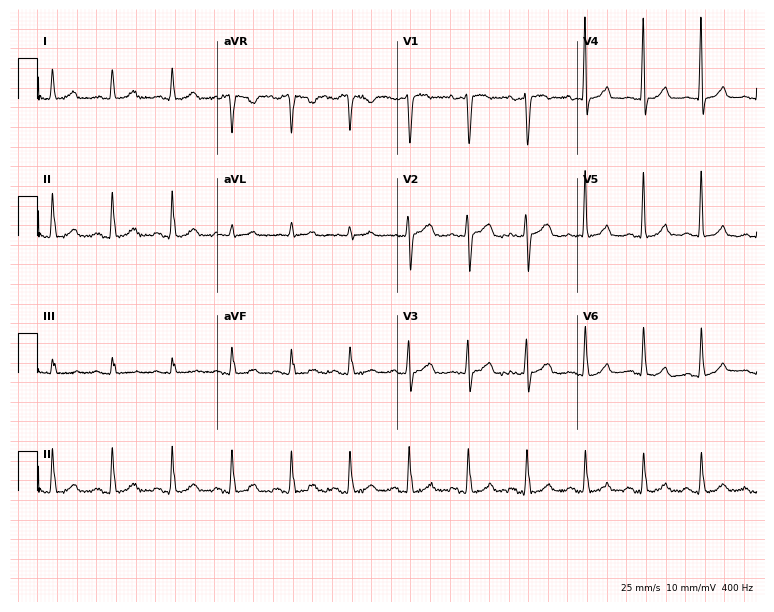
12-lead ECG from a 52-year-old female patient. Screened for six findings — first-degree AV block, right bundle branch block, left bundle branch block, sinus bradycardia, atrial fibrillation, sinus tachycardia — none is recorded.